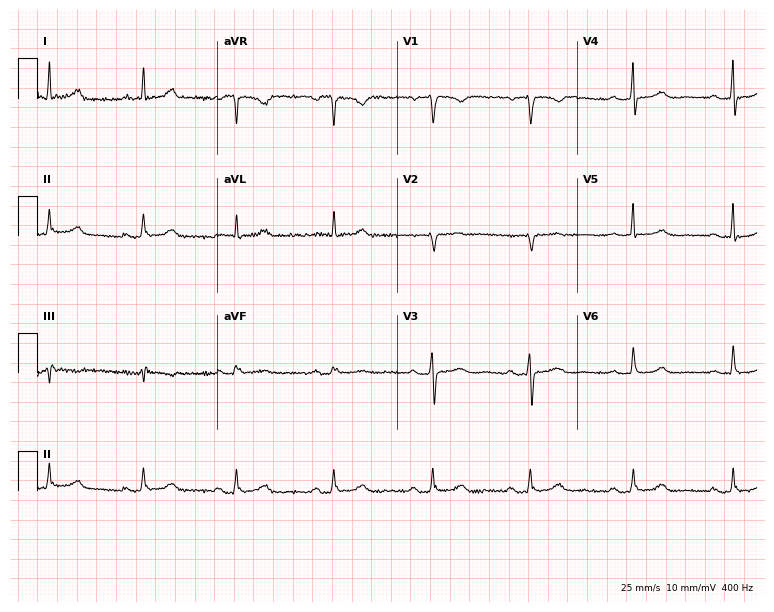
12-lead ECG from a female, 57 years old (7.3-second recording at 400 Hz). No first-degree AV block, right bundle branch block, left bundle branch block, sinus bradycardia, atrial fibrillation or sinus tachycardia recorded for this tracing.